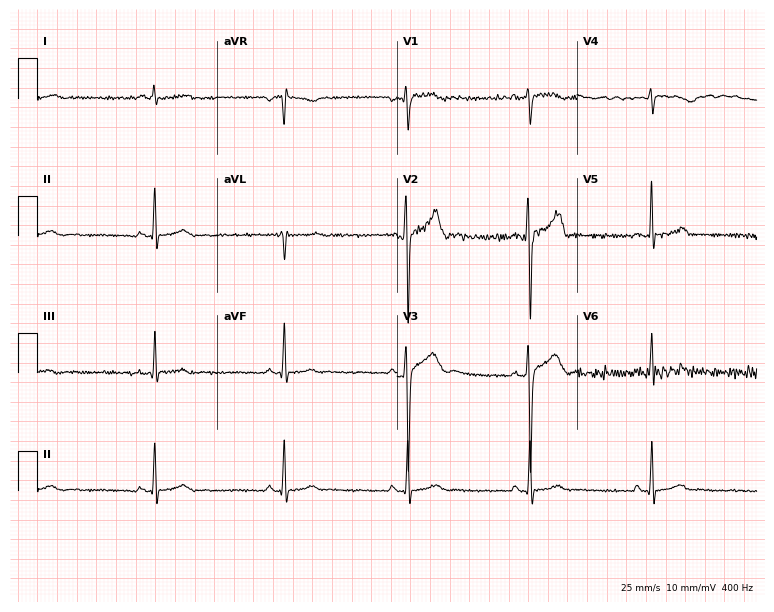
12-lead ECG from an 18-year-old man. Findings include sinus bradycardia (a sinus rate of 50 beats per minute or less).